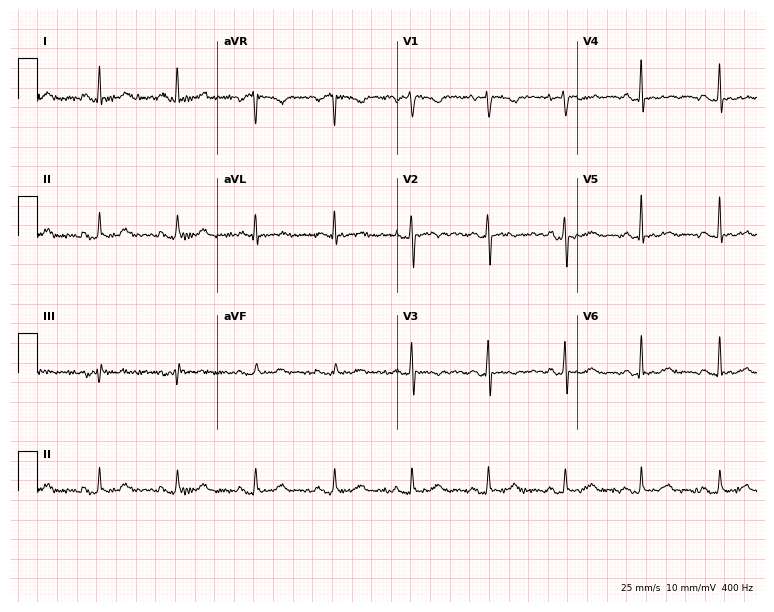
Resting 12-lead electrocardiogram. Patient: a 45-year-old woman. None of these six findings is recorded: first-degree AV block, right bundle branch block (RBBB), left bundle branch block (LBBB), sinus bradycardia, atrial fibrillation (AF), sinus tachycardia. Only these six findings were labelled.